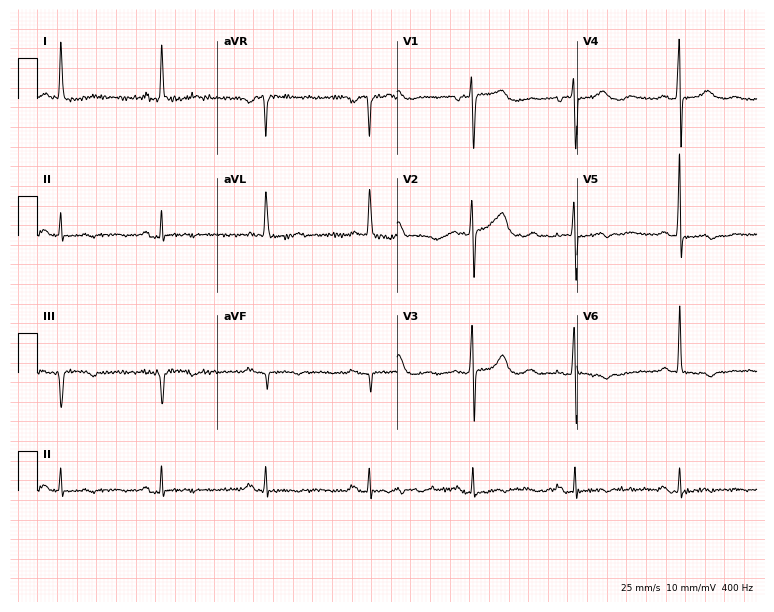
12-lead ECG from an 81-year-old female patient. Screened for six findings — first-degree AV block, right bundle branch block, left bundle branch block, sinus bradycardia, atrial fibrillation, sinus tachycardia — none is recorded. Only these six findings were labelled.